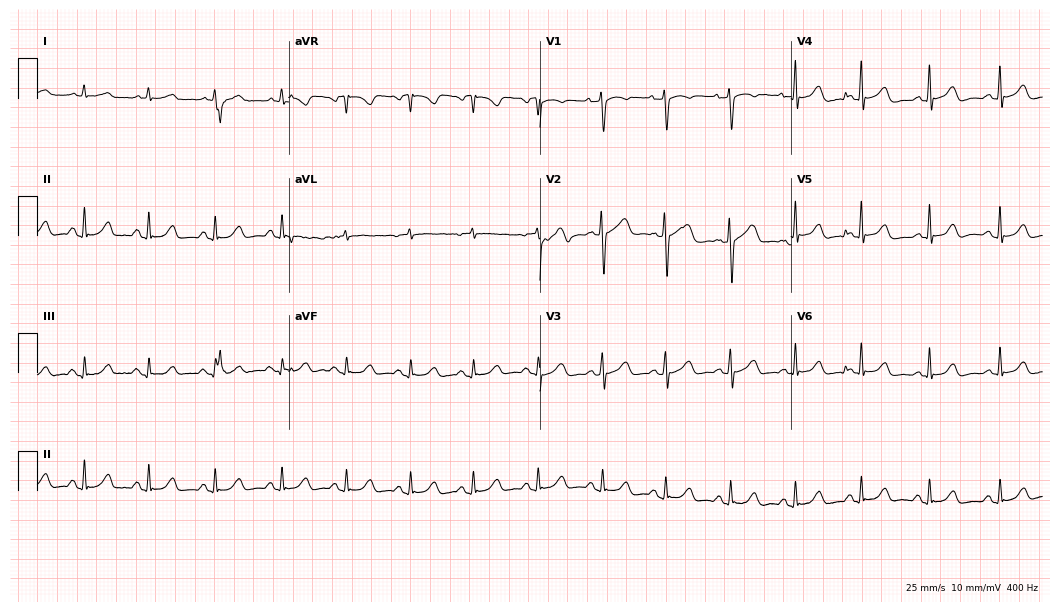
12-lead ECG from a woman, 63 years old. Labelled as a normal ECG.